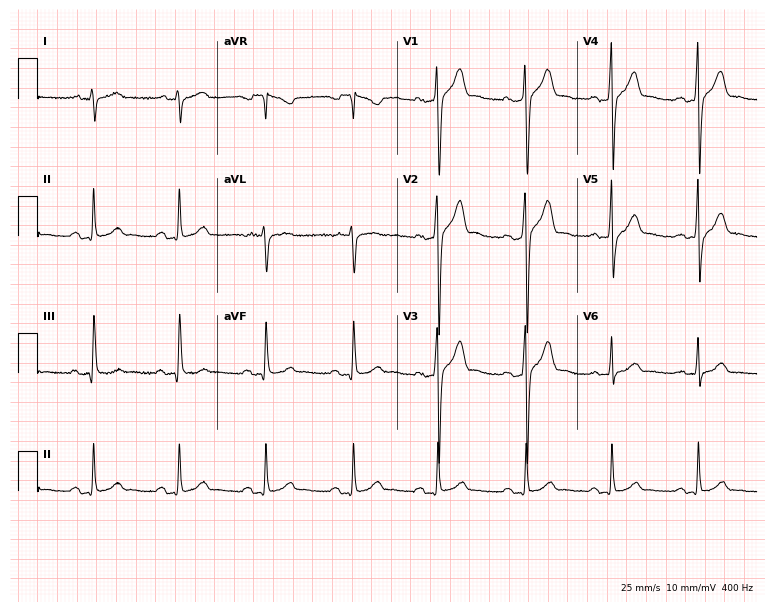
Electrocardiogram, a 28-year-old man. Of the six screened findings (first-degree AV block, right bundle branch block, left bundle branch block, sinus bradycardia, atrial fibrillation, sinus tachycardia), none is recorded.